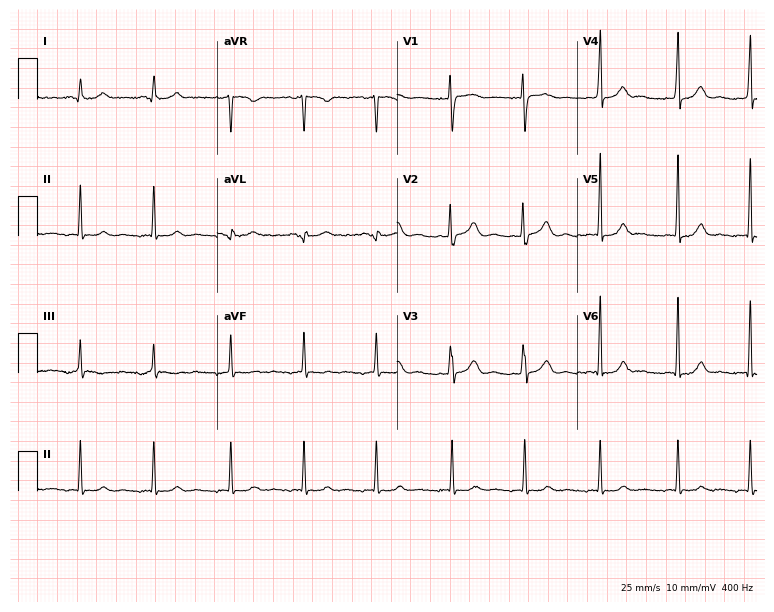
Electrocardiogram (7.3-second recording at 400 Hz), a woman, 22 years old. Of the six screened findings (first-degree AV block, right bundle branch block, left bundle branch block, sinus bradycardia, atrial fibrillation, sinus tachycardia), none is recorded.